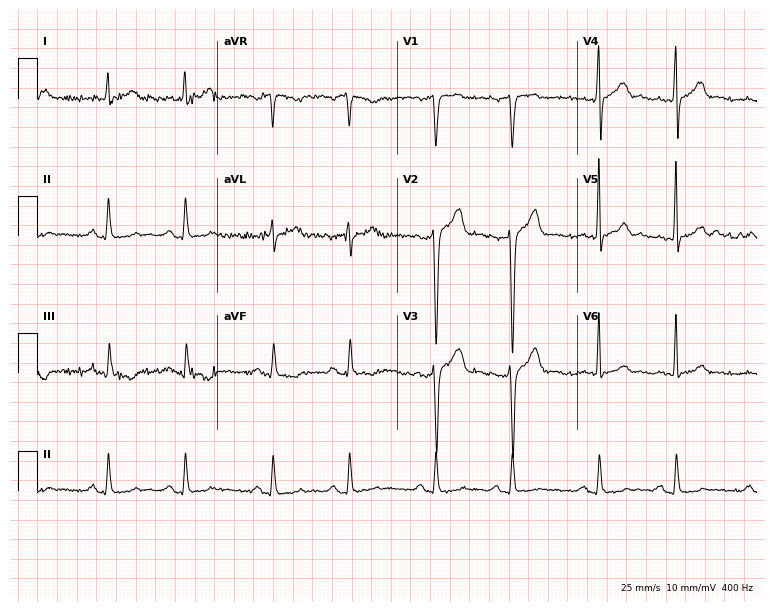
12-lead ECG from a 61-year-old male (7.3-second recording at 400 Hz). Recorded interpretation: within normal limits.